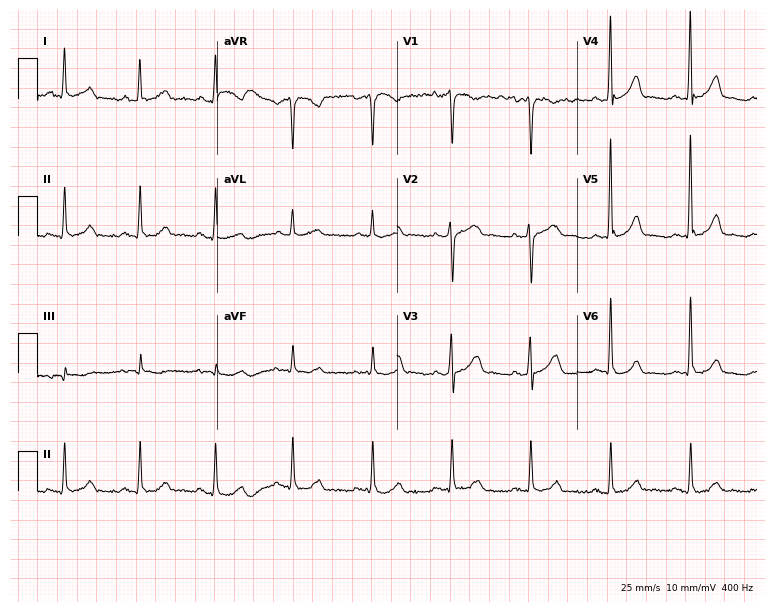
Resting 12-lead electrocardiogram (7.3-second recording at 400 Hz). Patient: a 43-year-old female. Read as a normal ECG.